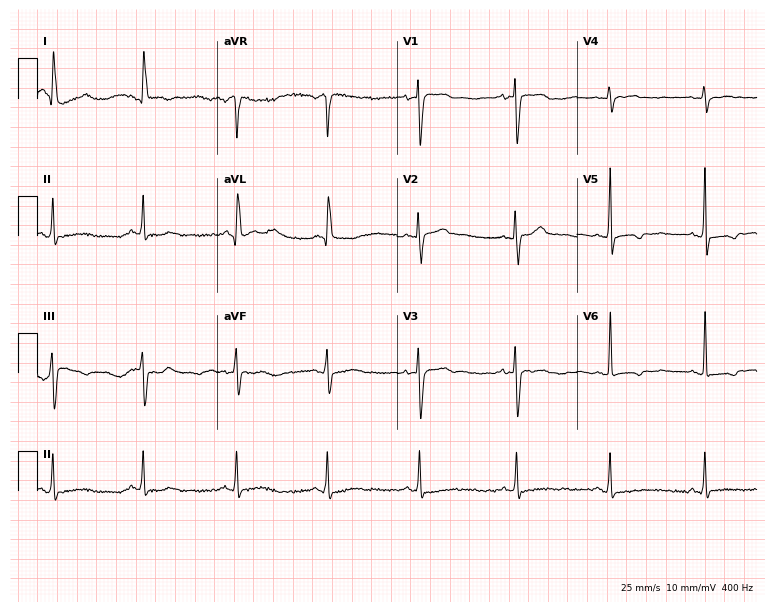
ECG — a female, 75 years old. Screened for six findings — first-degree AV block, right bundle branch block, left bundle branch block, sinus bradycardia, atrial fibrillation, sinus tachycardia — none is recorded.